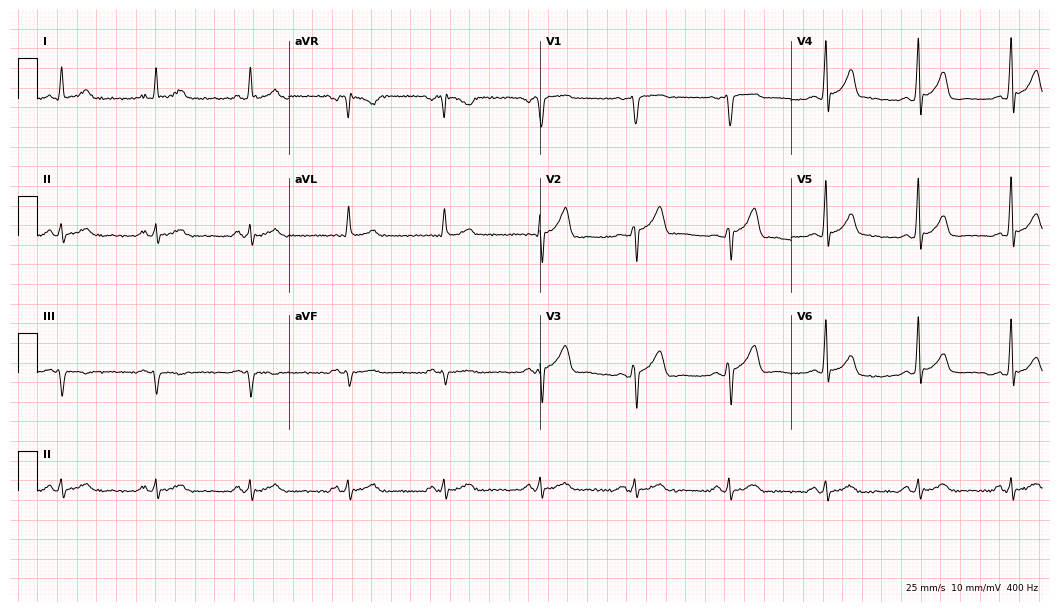
12-lead ECG from a man, 64 years old. Labelled as a normal ECG.